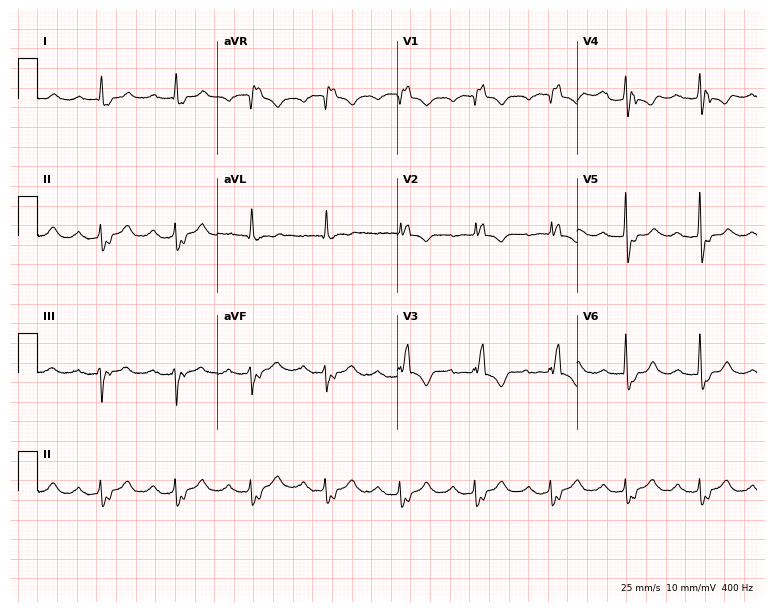
12-lead ECG from a 27-year-old woman. Findings include first-degree AV block, right bundle branch block.